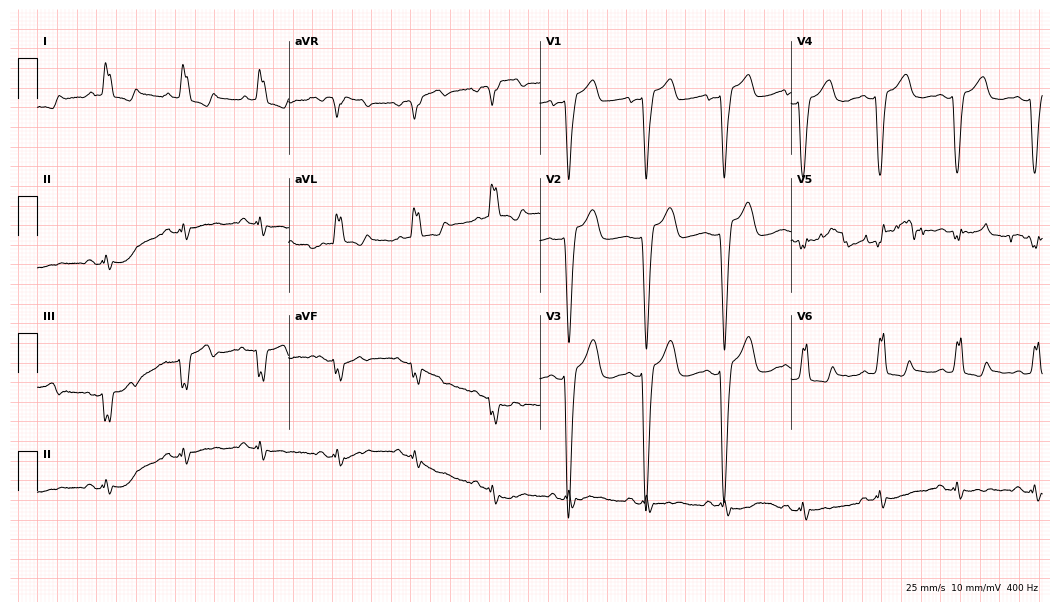
Electrocardiogram (10.2-second recording at 400 Hz), a 60-year-old female patient. Interpretation includes left bundle branch block (LBBB).